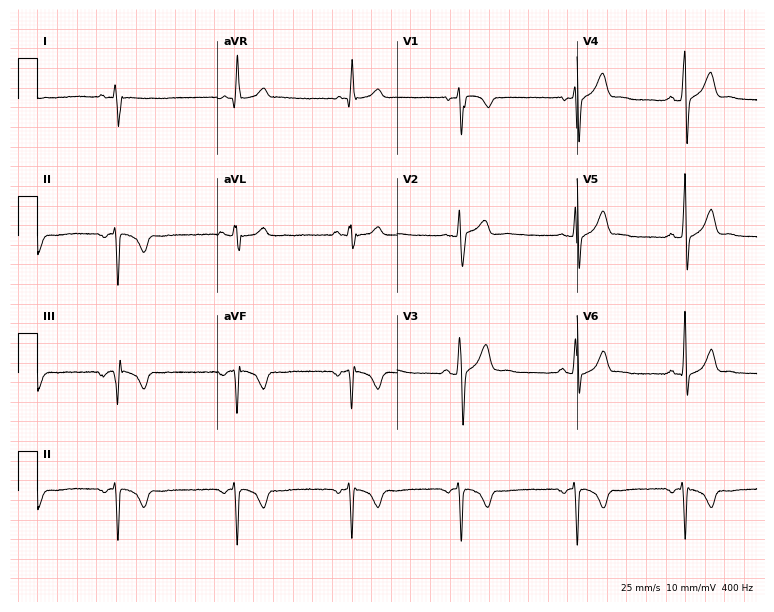
12-lead ECG from a male patient, 20 years old. Labelled as a normal ECG.